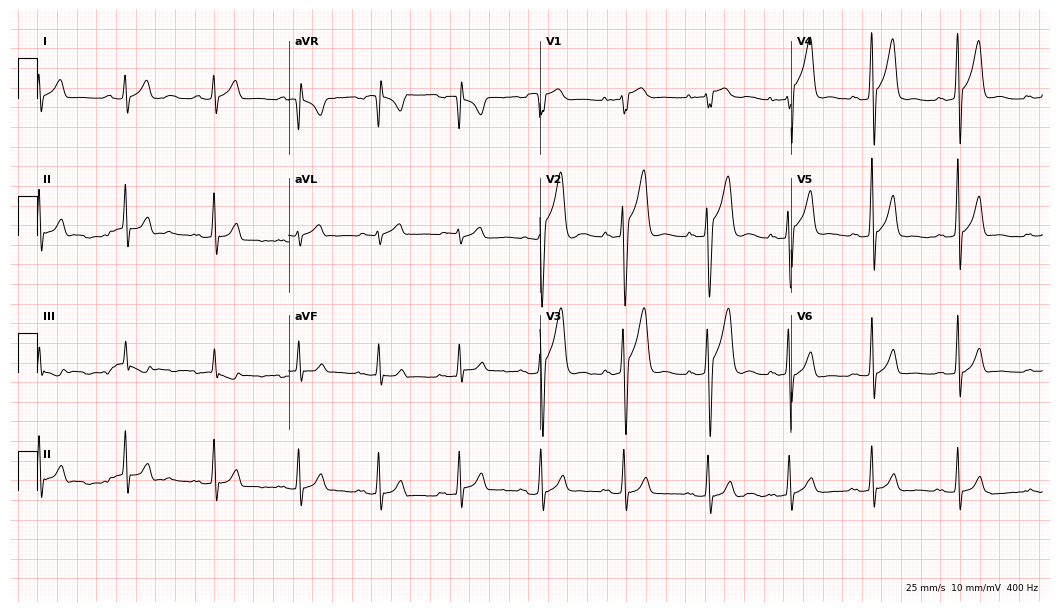
Electrocardiogram (10.2-second recording at 400 Hz), a 23-year-old male. Of the six screened findings (first-degree AV block, right bundle branch block, left bundle branch block, sinus bradycardia, atrial fibrillation, sinus tachycardia), none is recorded.